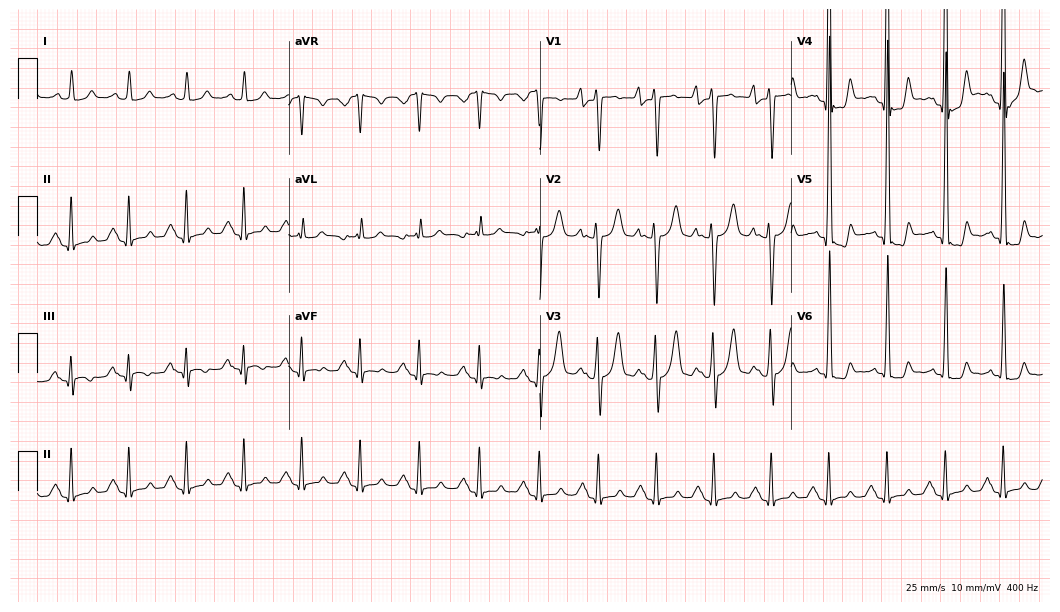
Electrocardiogram (10.2-second recording at 400 Hz), a 32-year-old male. Interpretation includes sinus tachycardia (a sinus rate of 100 beats per minute or more).